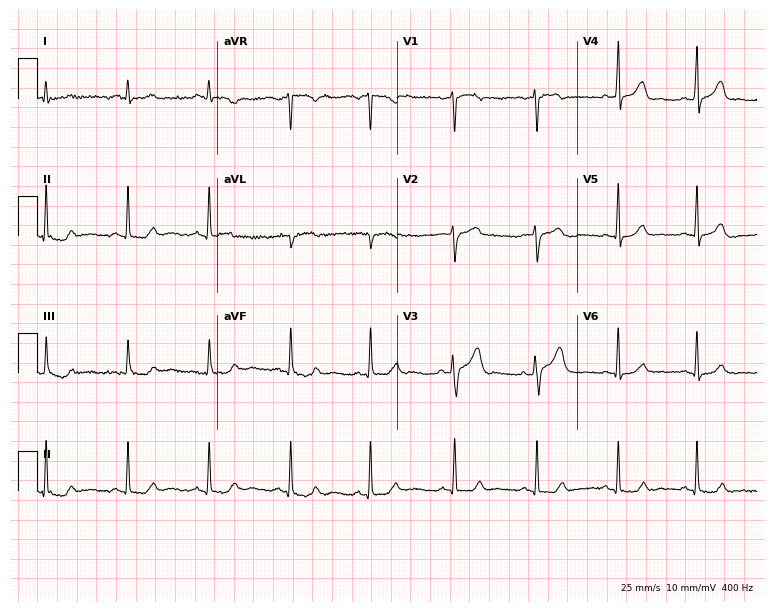
12-lead ECG (7.3-second recording at 400 Hz) from a 58-year-old male patient. Labelled as a normal ECG.